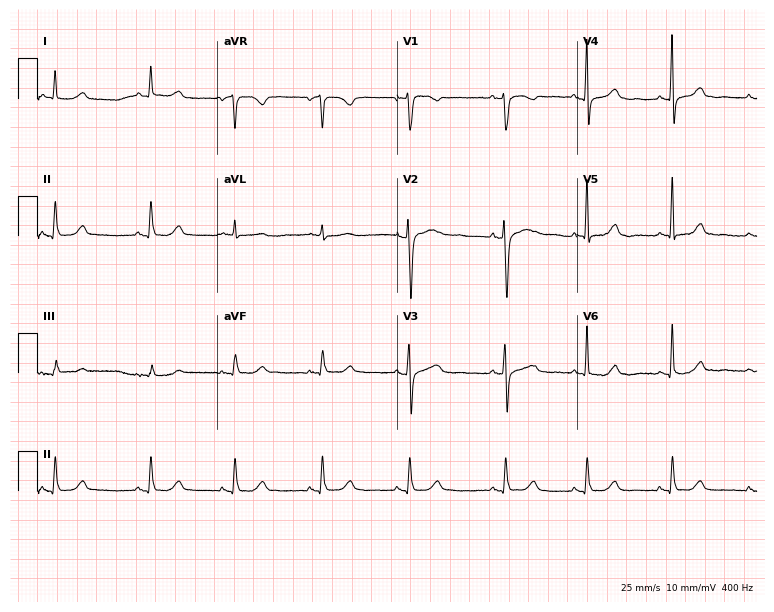
12-lead ECG from a 62-year-old female. Recorded interpretation: within normal limits.